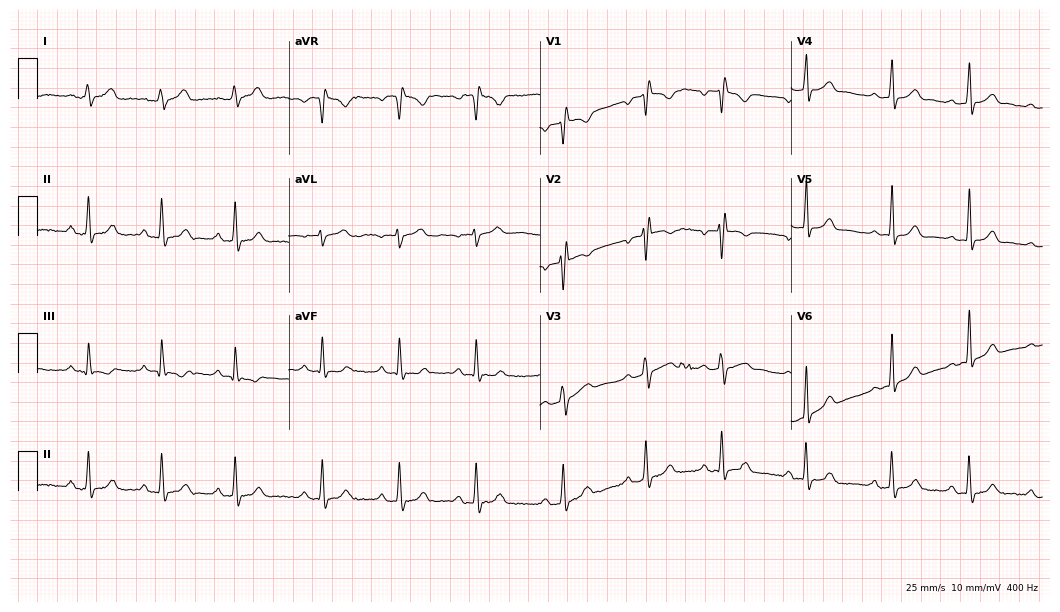
12-lead ECG (10.2-second recording at 400 Hz) from an 18-year-old woman. Screened for six findings — first-degree AV block, right bundle branch block, left bundle branch block, sinus bradycardia, atrial fibrillation, sinus tachycardia — none is recorded.